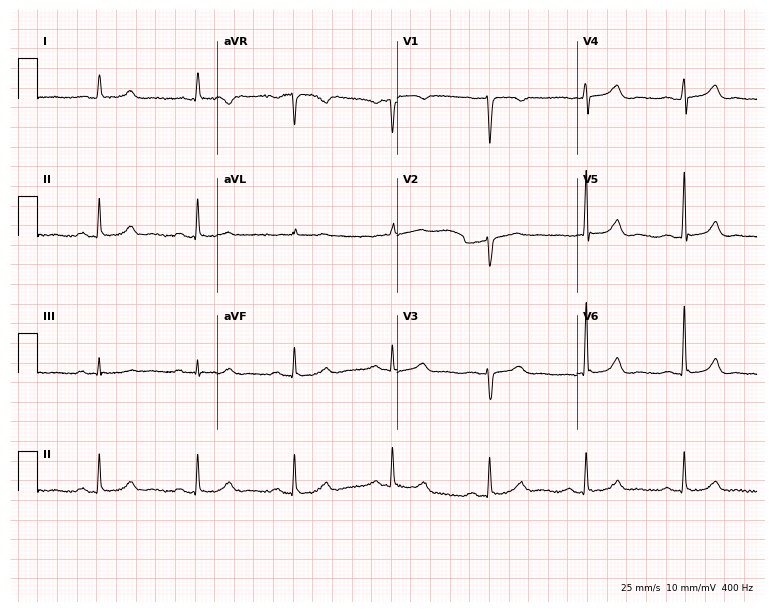
12-lead ECG from an 80-year-old male patient. No first-degree AV block, right bundle branch block (RBBB), left bundle branch block (LBBB), sinus bradycardia, atrial fibrillation (AF) or sinus tachycardia recorded for this tracing. Findings outside these six are not listed.